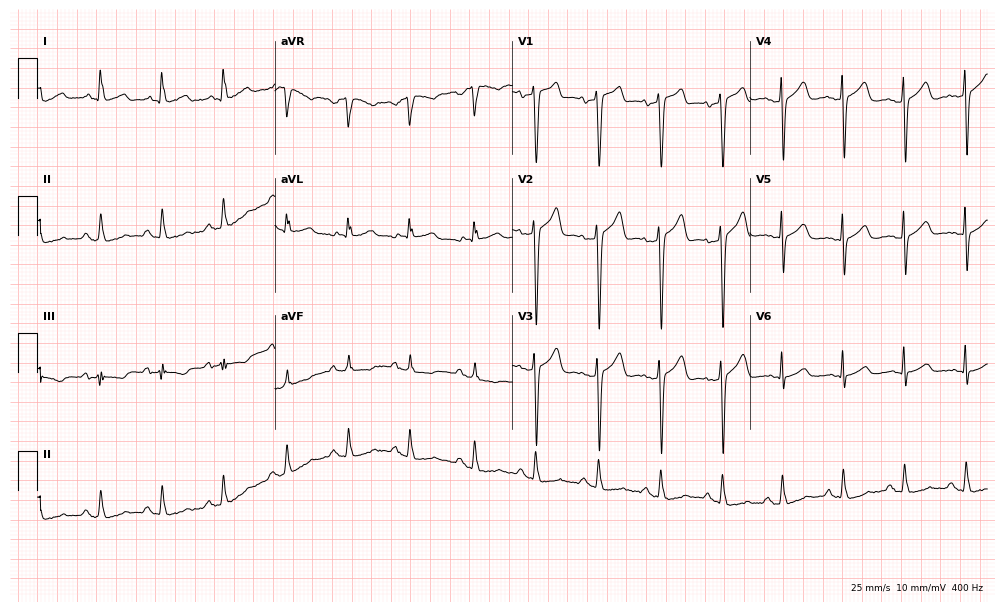
ECG (9.7-second recording at 400 Hz) — an 81-year-old female patient. Screened for six findings — first-degree AV block, right bundle branch block, left bundle branch block, sinus bradycardia, atrial fibrillation, sinus tachycardia — none is recorded.